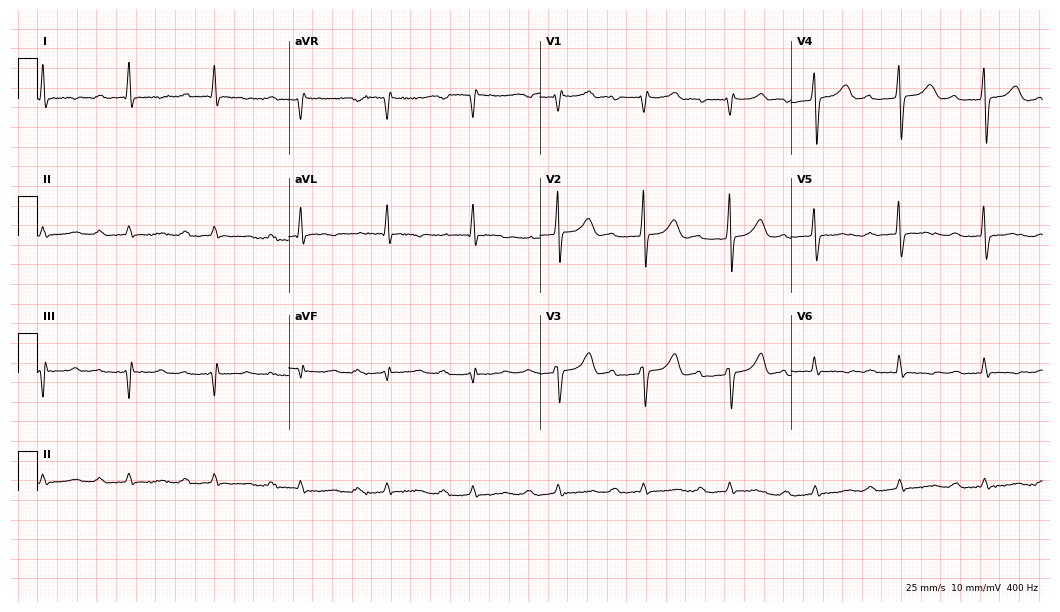
ECG (10.2-second recording at 400 Hz) — a 73-year-old male patient. Screened for six findings — first-degree AV block, right bundle branch block, left bundle branch block, sinus bradycardia, atrial fibrillation, sinus tachycardia — none is recorded. Findings outside these six are not listed.